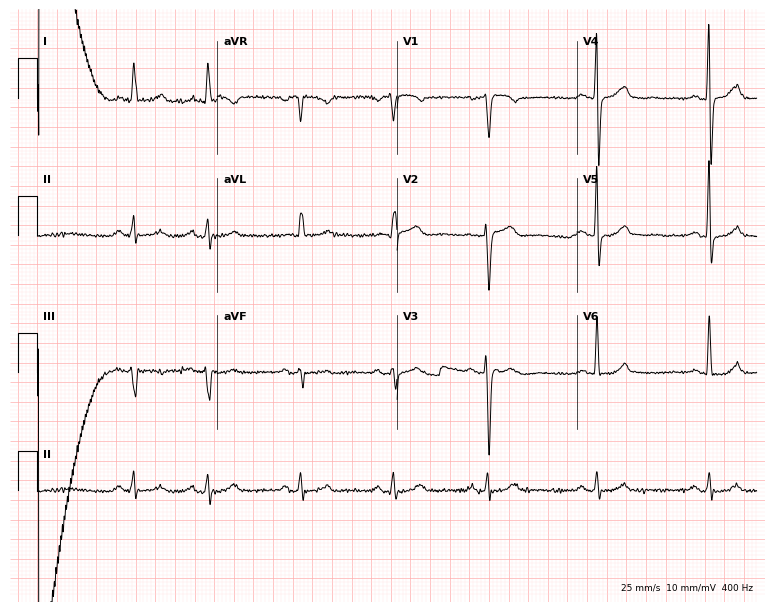
Electrocardiogram (7.3-second recording at 400 Hz), a 61-year-old female patient. Of the six screened findings (first-degree AV block, right bundle branch block (RBBB), left bundle branch block (LBBB), sinus bradycardia, atrial fibrillation (AF), sinus tachycardia), none is recorded.